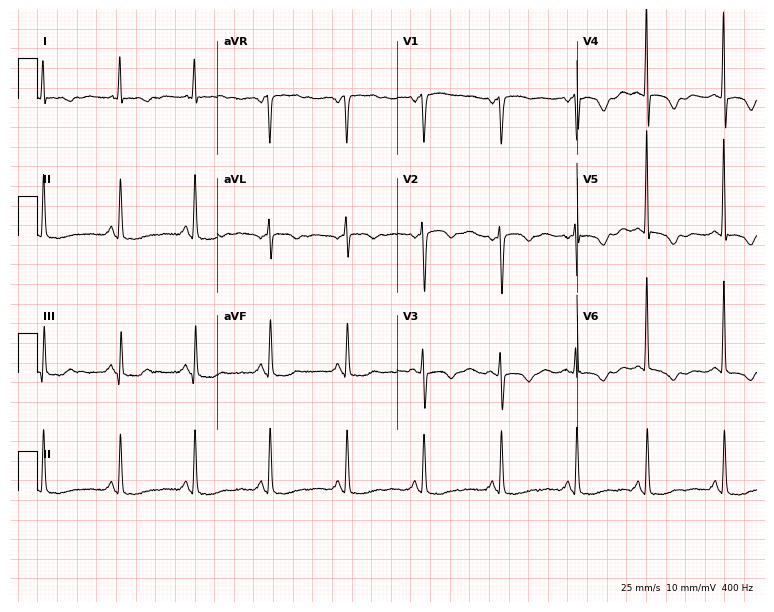
12-lead ECG from a 59-year-old female. Screened for six findings — first-degree AV block, right bundle branch block, left bundle branch block, sinus bradycardia, atrial fibrillation, sinus tachycardia — none is recorded.